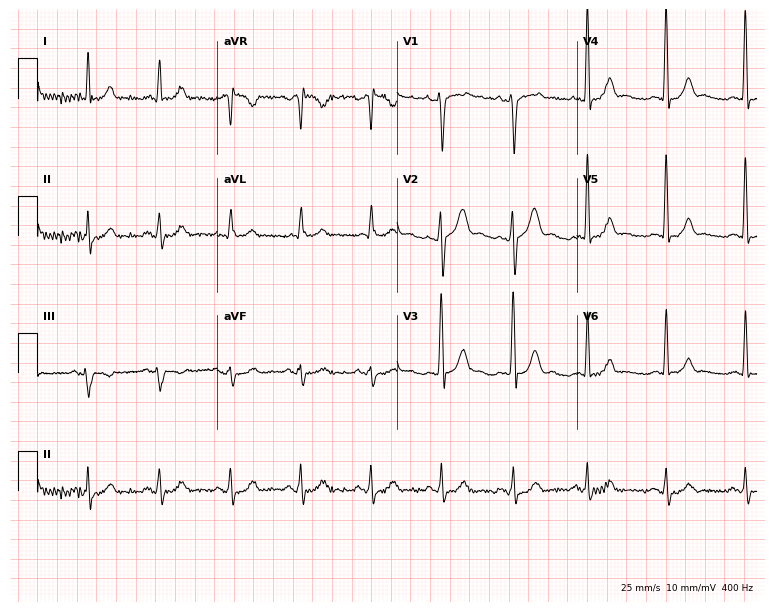
12-lead ECG from a man, 52 years old (7.3-second recording at 400 Hz). No first-degree AV block, right bundle branch block, left bundle branch block, sinus bradycardia, atrial fibrillation or sinus tachycardia recorded for this tracing. Other findings, if any, are not listed.